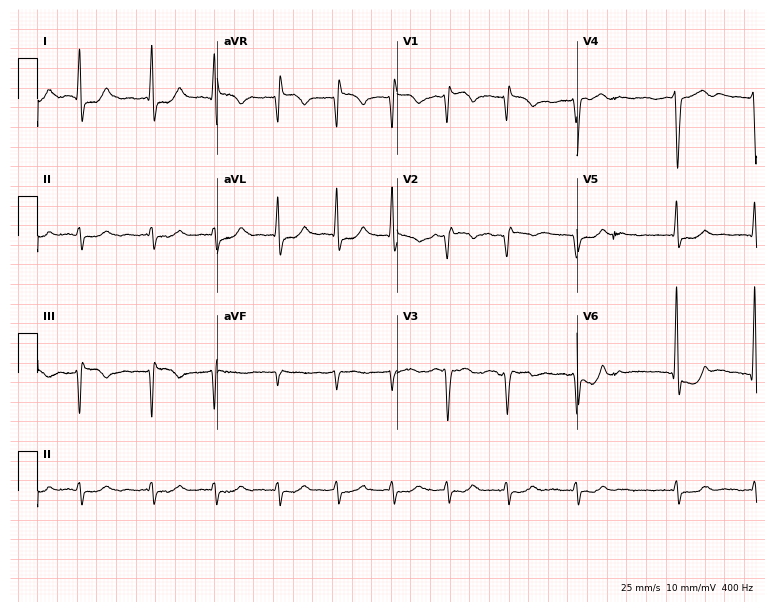
Standard 12-lead ECG recorded from a male, 75 years old (7.3-second recording at 400 Hz). The tracing shows atrial fibrillation.